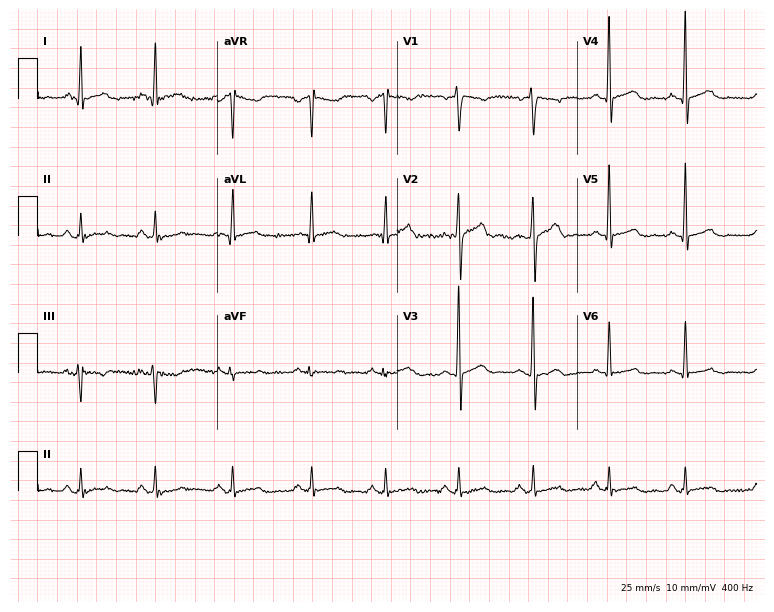
Resting 12-lead electrocardiogram (7.3-second recording at 400 Hz). Patient: a man, 27 years old. Read as a normal ECG.